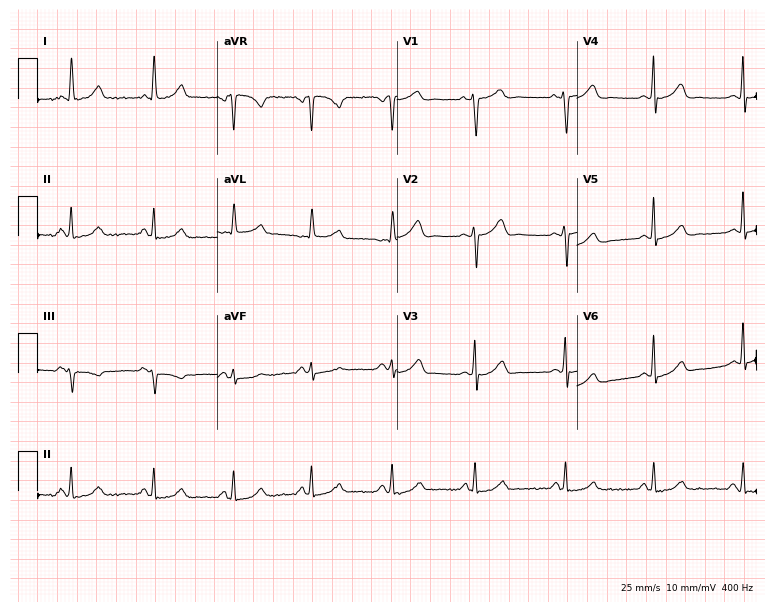
Resting 12-lead electrocardiogram (7.3-second recording at 400 Hz). Patient: a woman, 44 years old. None of these six findings is recorded: first-degree AV block, right bundle branch block, left bundle branch block, sinus bradycardia, atrial fibrillation, sinus tachycardia.